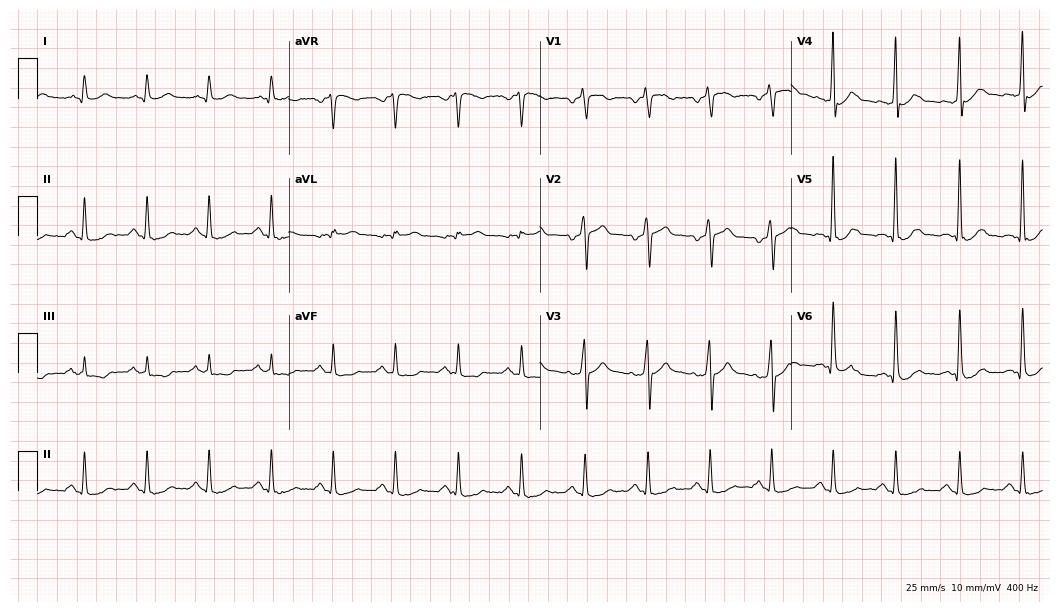
12-lead ECG from a man, 70 years old. No first-degree AV block, right bundle branch block (RBBB), left bundle branch block (LBBB), sinus bradycardia, atrial fibrillation (AF) or sinus tachycardia recorded for this tracing. Findings outside these six are not listed.